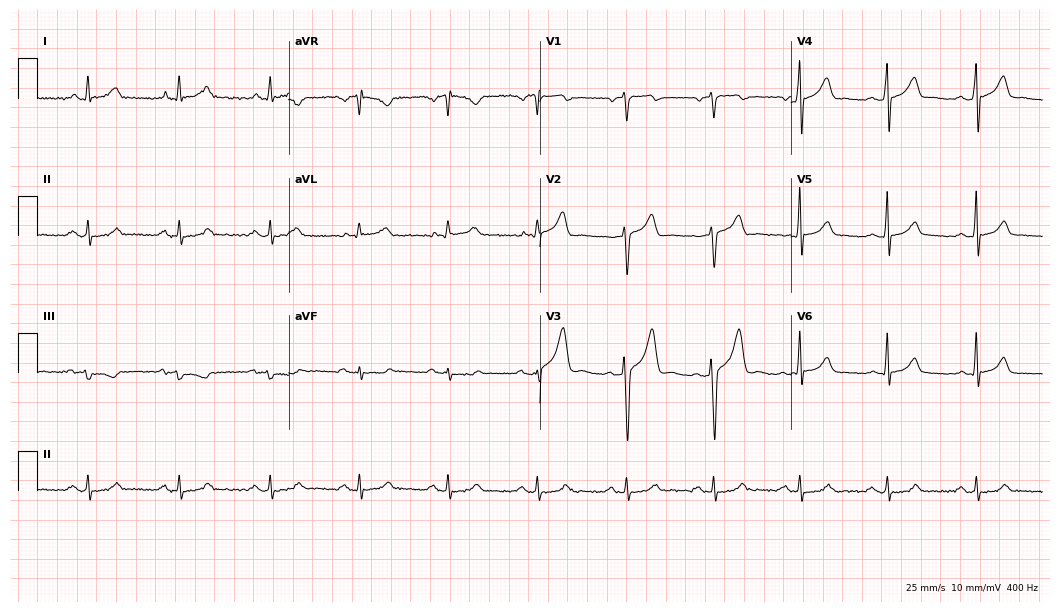
12-lead ECG from a 56-year-old male patient. No first-degree AV block, right bundle branch block, left bundle branch block, sinus bradycardia, atrial fibrillation or sinus tachycardia recorded for this tracing. Findings outside these six are not listed.